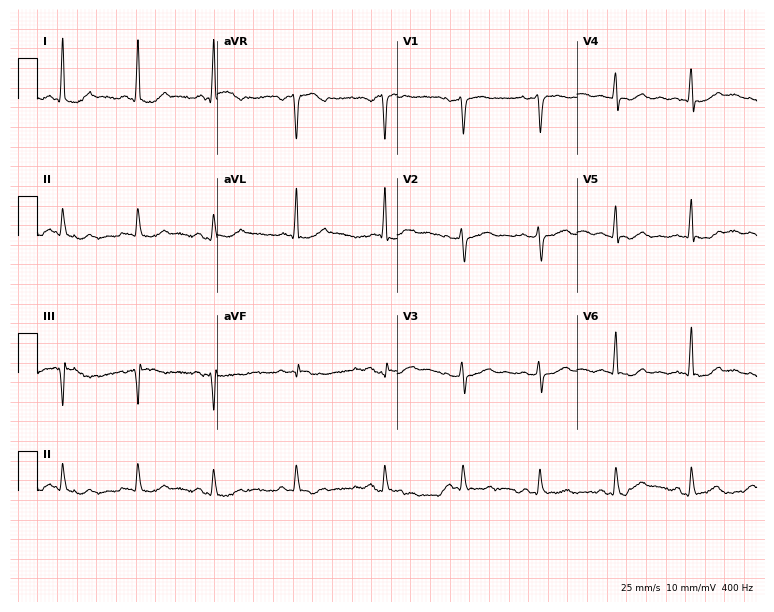
Electrocardiogram (7.3-second recording at 400 Hz), a woman, 26 years old. Overall reading on record: normal ECG.